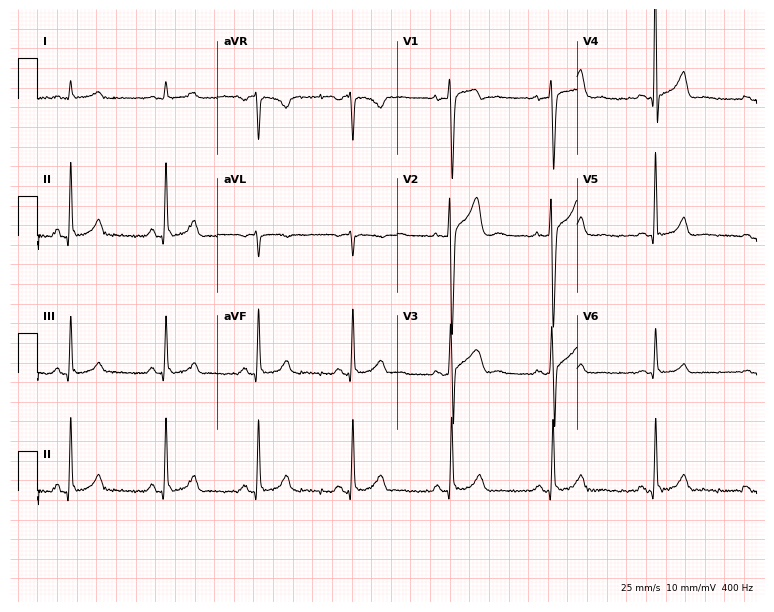
ECG — a man, 34 years old. Labelled as a normal ECG.